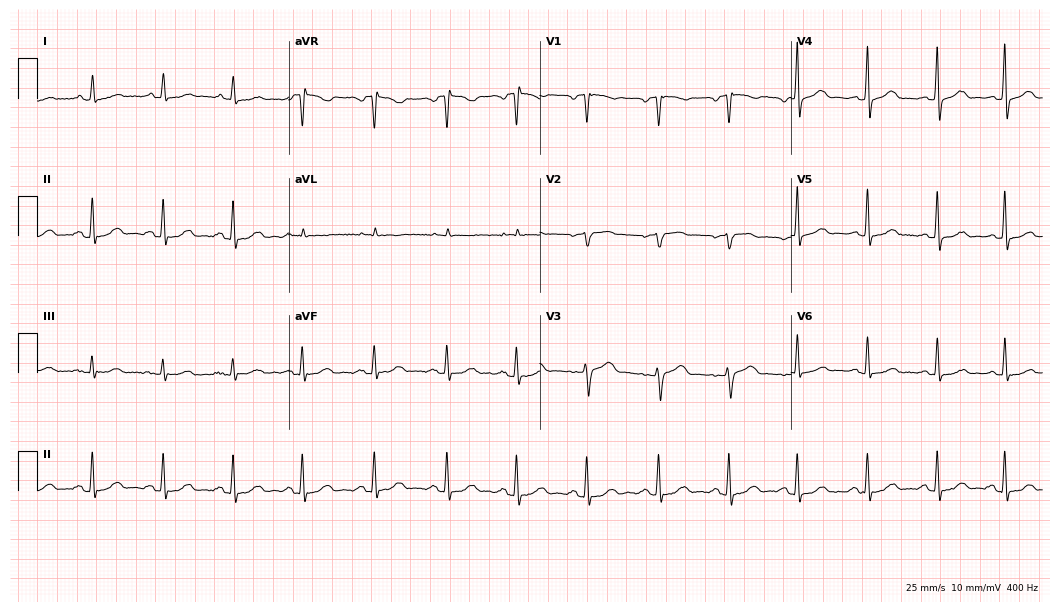
12-lead ECG from a male, 50 years old. Recorded interpretation: within normal limits.